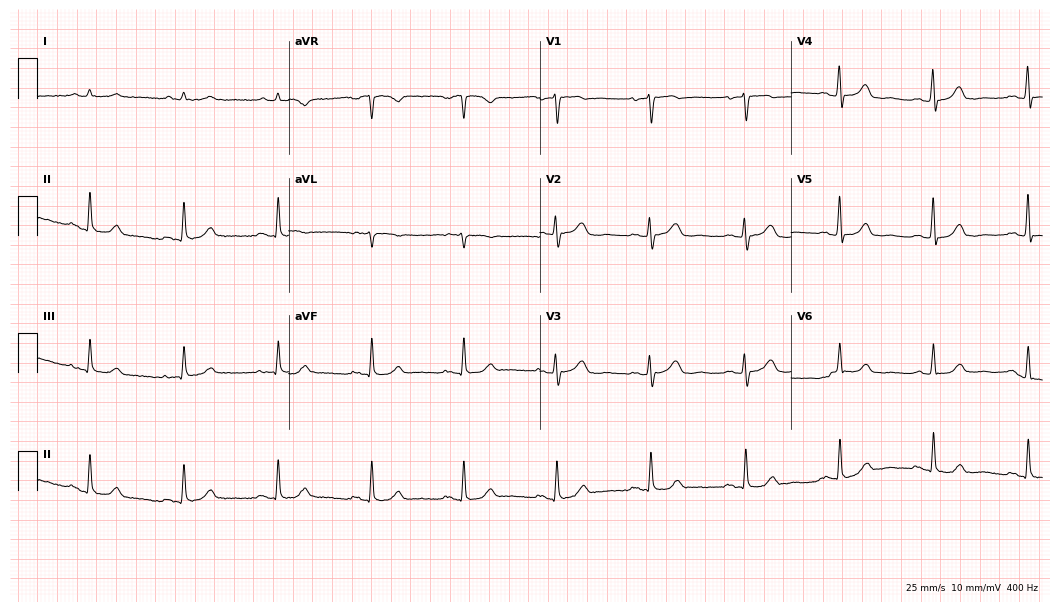
Electrocardiogram, a male patient, 77 years old. Overall reading on record: normal ECG.